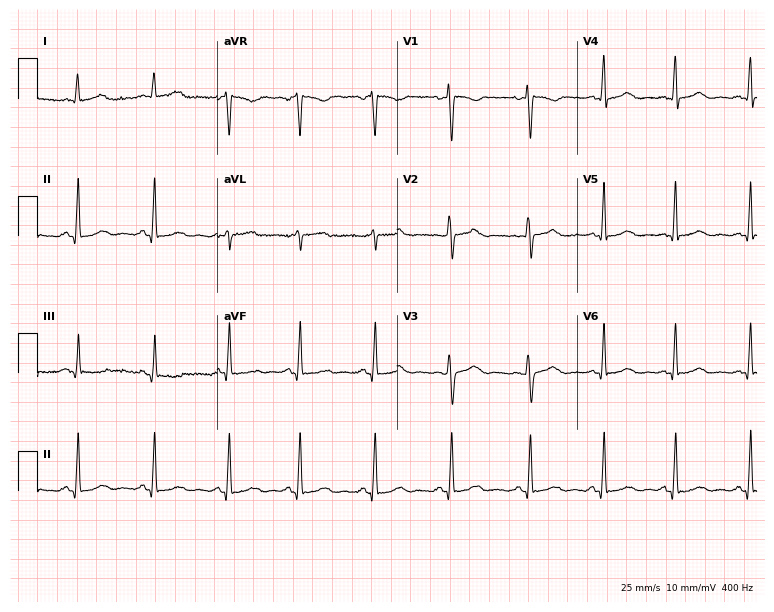
Resting 12-lead electrocardiogram. Patient: a 42-year-old woman. None of these six findings is recorded: first-degree AV block, right bundle branch block, left bundle branch block, sinus bradycardia, atrial fibrillation, sinus tachycardia.